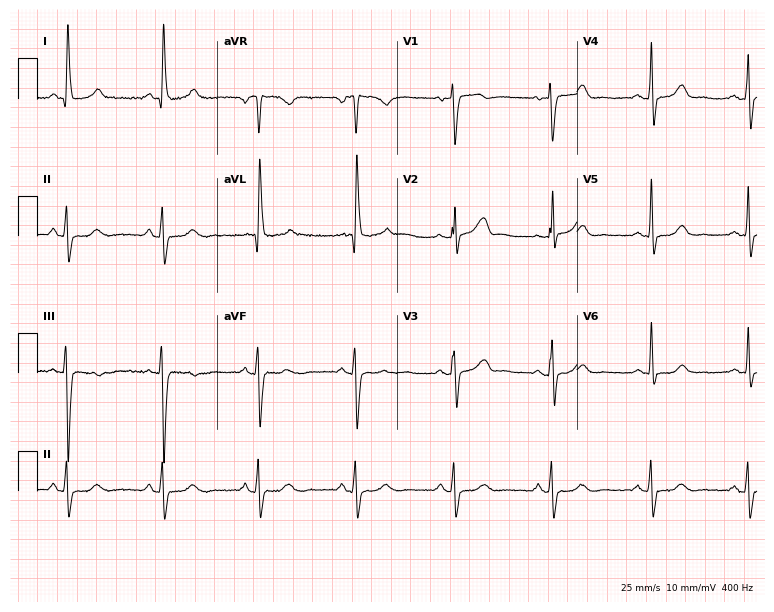
Electrocardiogram (7.3-second recording at 400 Hz), a 79-year-old female patient. Of the six screened findings (first-degree AV block, right bundle branch block, left bundle branch block, sinus bradycardia, atrial fibrillation, sinus tachycardia), none is recorded. Only these six findings were labelled.